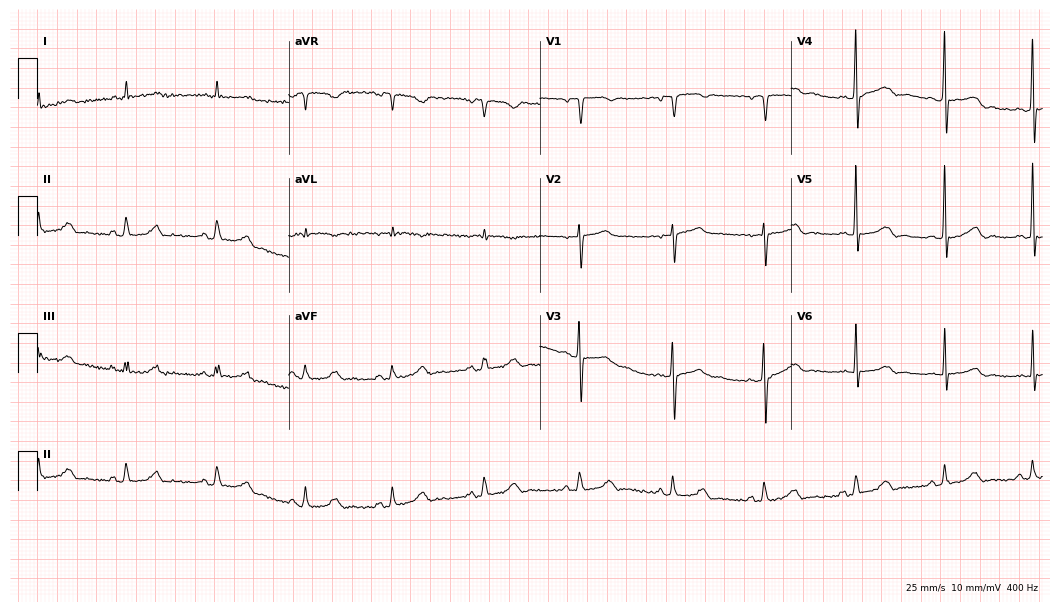
Electrocardiogram, a male, 70 years old. Overall reading on record: normal ECG.